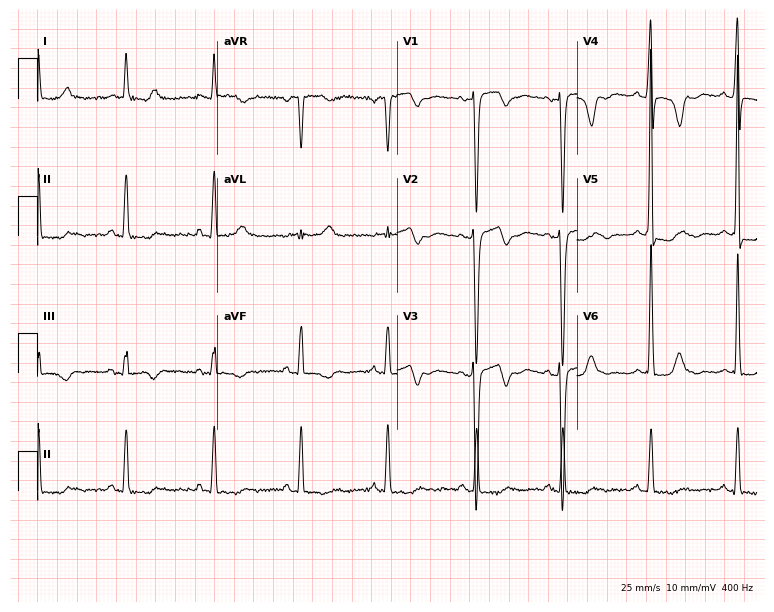
Resting 12-lead electrocardiogram. Patient: a woman, 76 years old. None of these six findings is recorded: first-degree AV block, right bundle branch block (RBBB), left bundle branch block (LBBB), sinus bradycardia, atrial fibrillation (AF), sinus tachycardia.